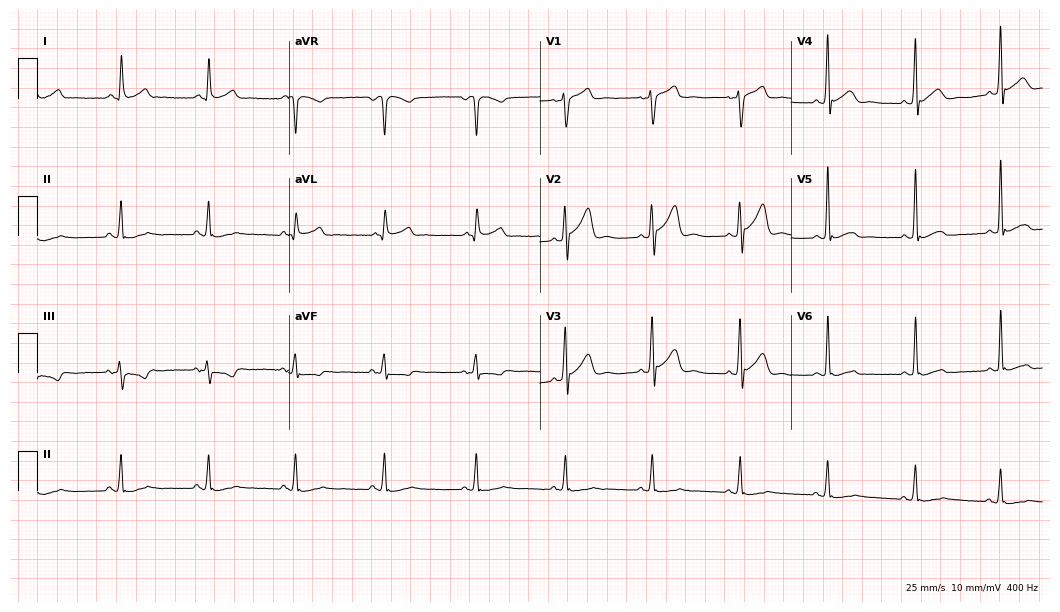
Resting 12-lead electrocardiogram. Patient: a male, 51 years old. Read as a normal ECG.